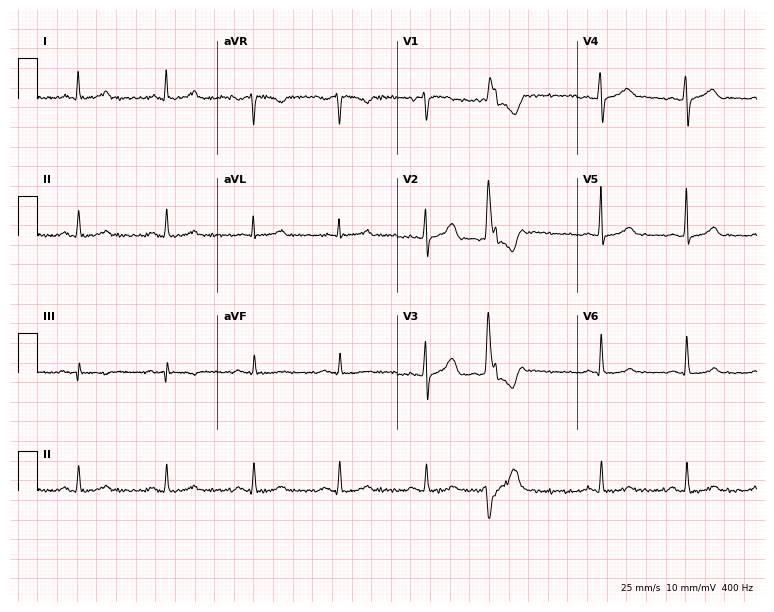
12-lead ECG (7.3-second recording at 400 Hz) from a woman, 42 years old. Screened for six findings — first-degree AV block, right bundle branch block (RBBB), left bundle branch block (LBBB), sinus bradycardia, atrial fibrillation (AF), sinus tachycardia — none is recorded.